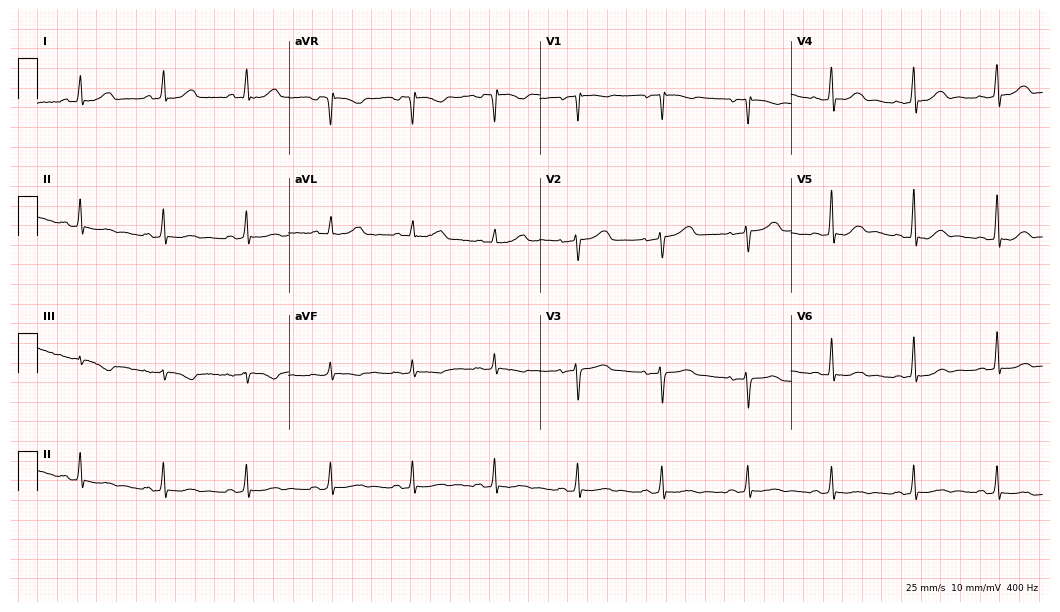
12-lead ECG from a 58-year-old woman. Recorded interpretation: within normal limits.